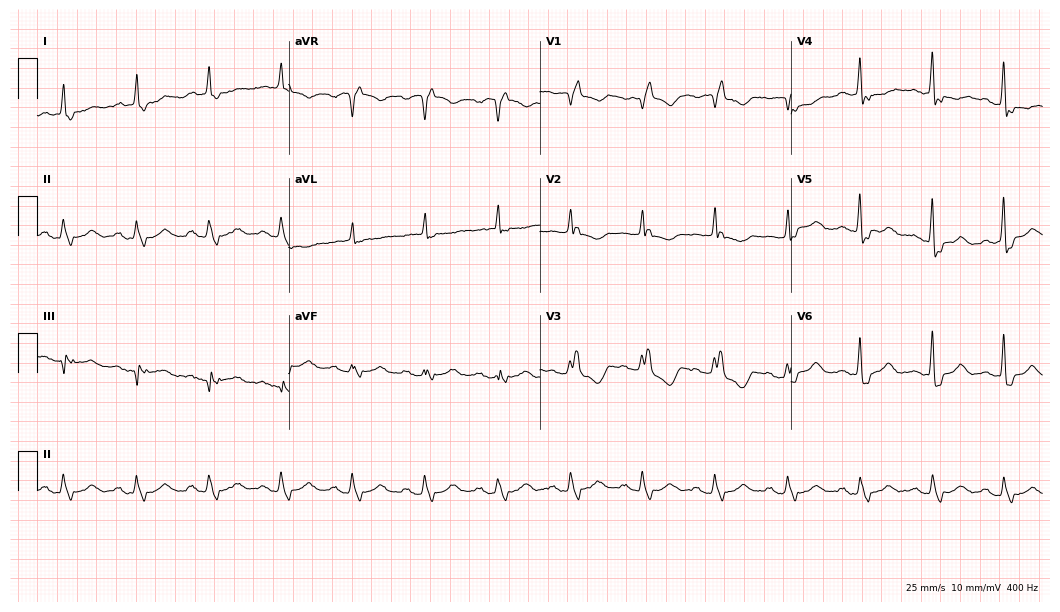
Electrocardiogram (10.2-second recording at 400 Hz), a man, 62 years old. Interpretation includes right bundle branch block.